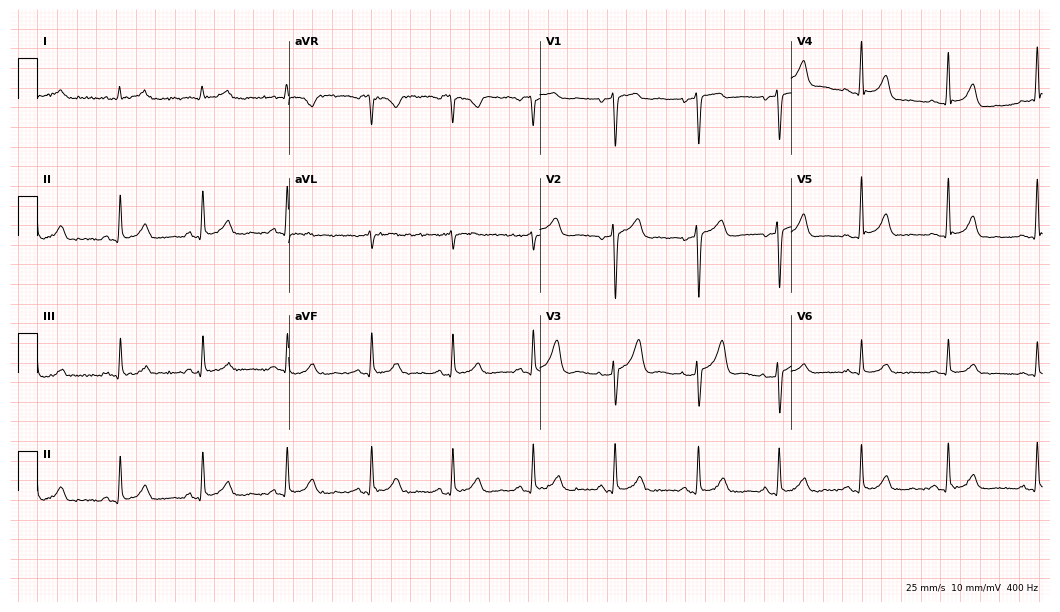
12-lead ECG from a 51-year-old female patient (10.2-second recording at 400 Hz). No first-degree AV block, right bundle branch block (RBBB), left bundle branch block (LBBB), sinus bradycardia, atrial fibrillation (AF) or sinus tachycardia recorded for this tracing. Other findings, if any, are not listed.